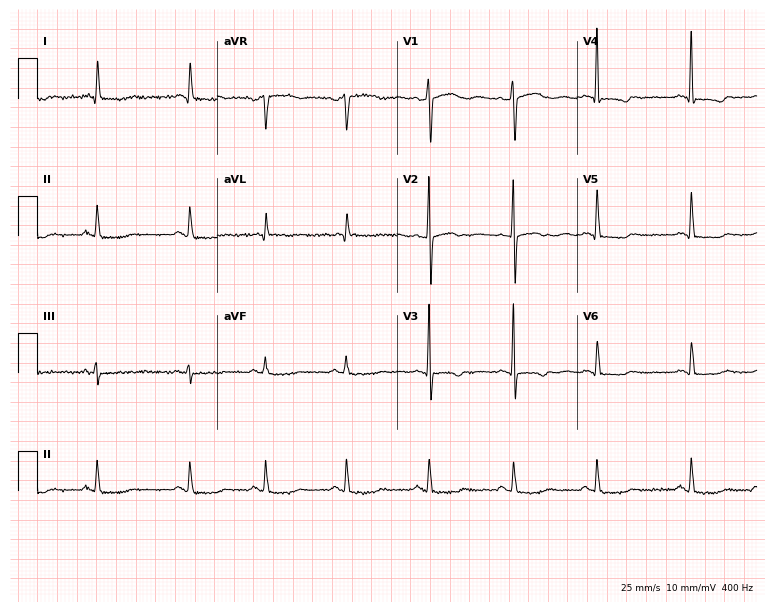
12-lead ECG from a 78-year-old male patient. No first-degree AV block, right bundle branch block (RBBB), left bundle branch block (LBBB), sinus bradycardia, atrial fibrillation (AF) or sinus tachycardia recorded for this tracing. Findings outside these six are not listed.